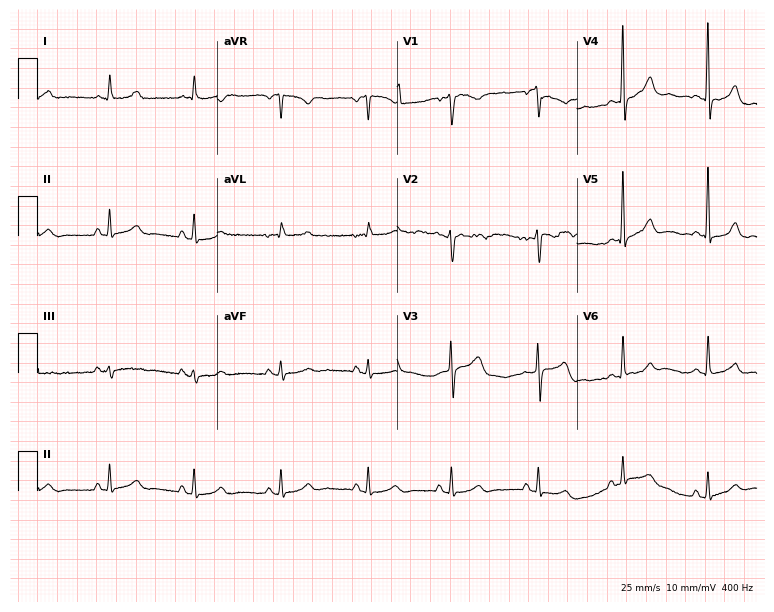
Resting 12-lead electrocardiogram (7.3-second recording at 400 Hz). Patient: a female, 51 years old. Read as a normal ECG.